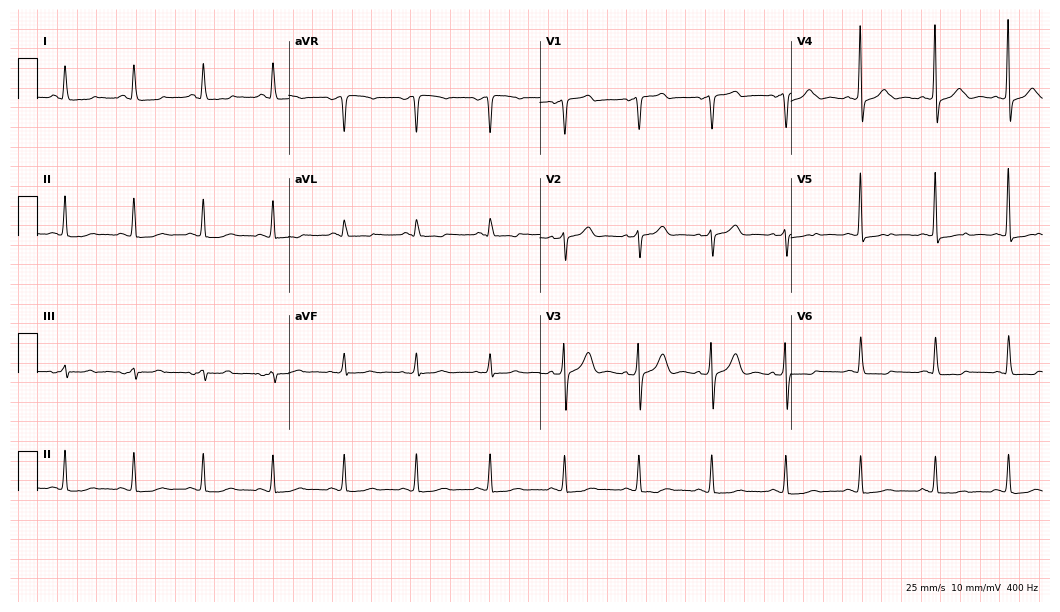
Resting 12-lead electrocardiogram (10.2-second recording at 400 Hz). Patient: a female, 74 years old. None of these six findings is recorded: first-degree AV block, right bundle branch block, left bundle branch block, sinus bradycardia, atrial fibrillation, sinus tachycardia.